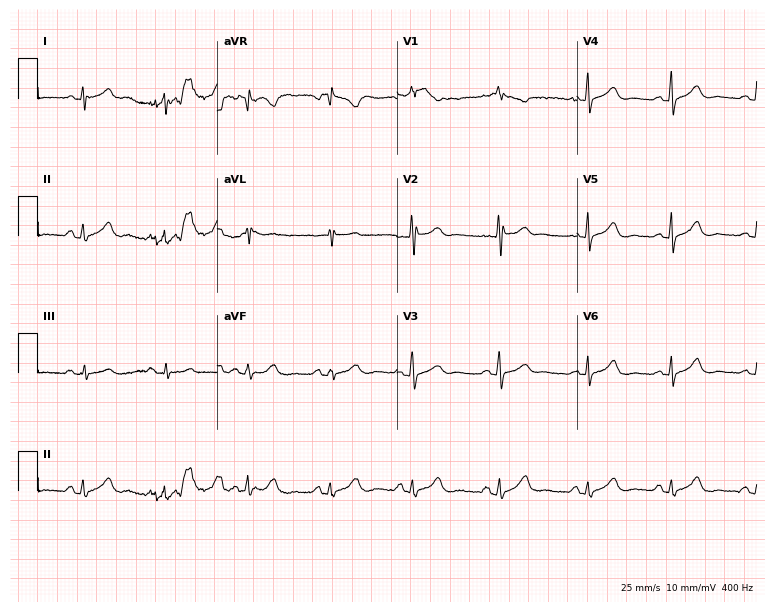
Standard 12-lead ECG recorded from a female patient, 28 years old (7.3-second recording at 400 Hz). Read as a normal ECG.